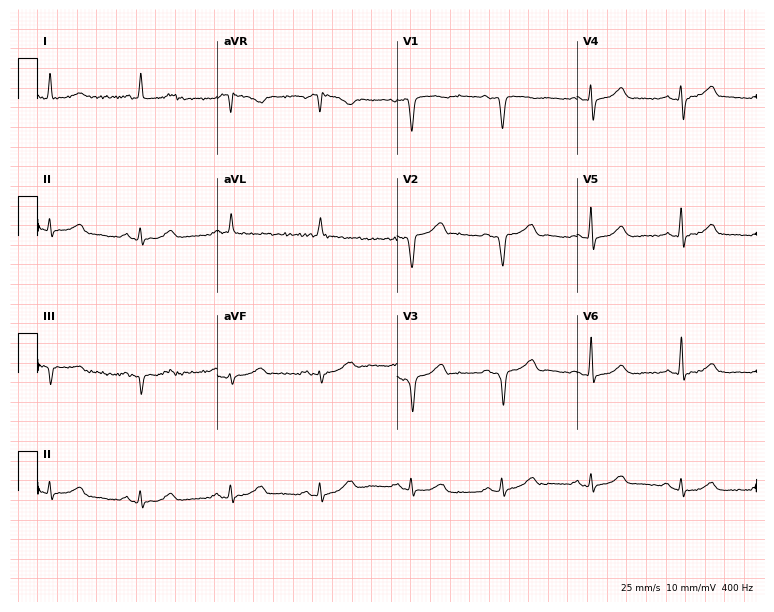
Electrocardiogram, a male, 79 years old. Of the six screened findings (first-degree AV block, right bundle branch block, left bundle branch block, sinus bradycardia, atrial fibrillation, sinus tachycardia), none is recorded.